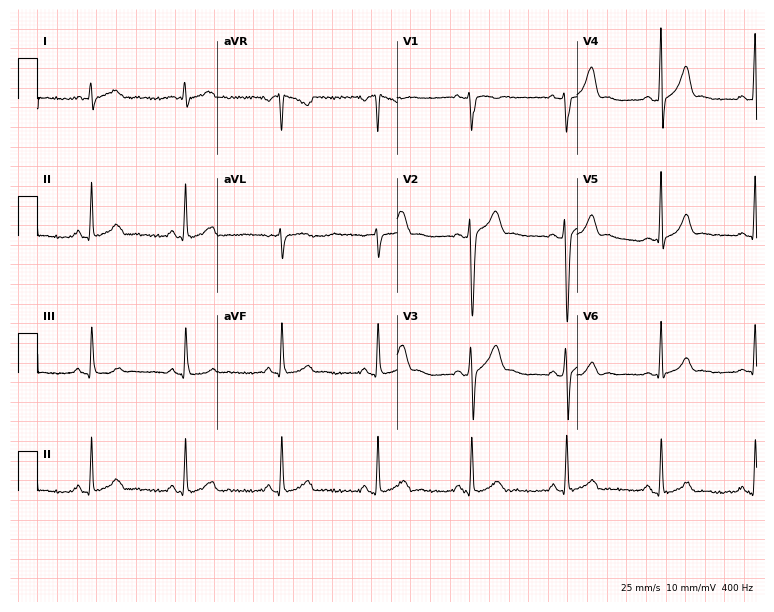
Electrocardiogram (7.3-second recording at 400 Hz), a male, 22 years old. Of the six screened findings (first-degree AV block, right bundle branch block (RBBB), left bundle branch block (LBBB), sinus bradycardia, atrial fibrillation (AF), sinus tachycardia), none is recorded.